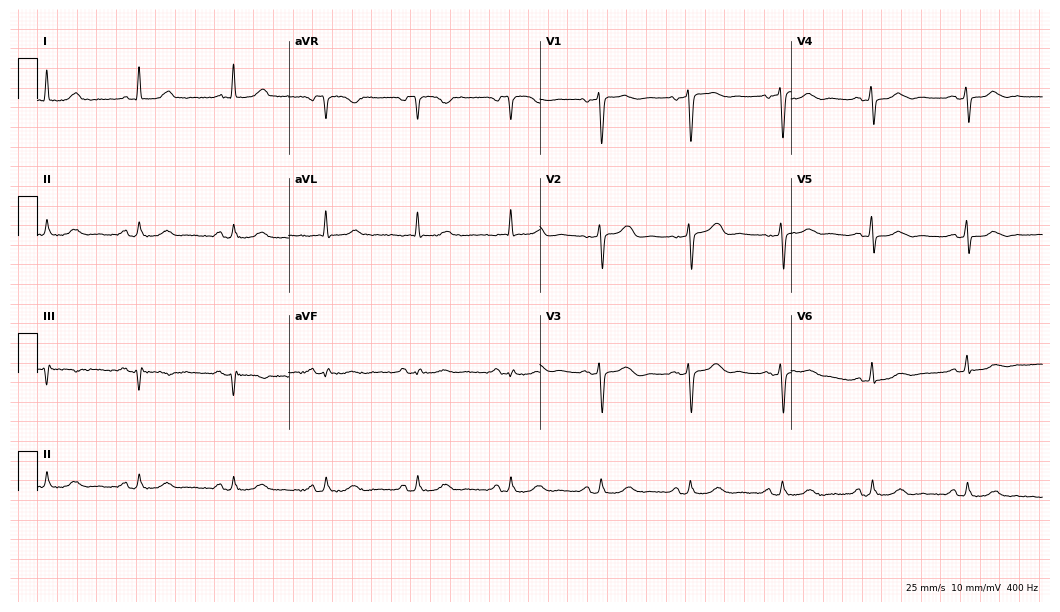
Electrocardiogram (10.2-second recording at 400 Hz), a 78-year-old female patient. Of the six screened findings (first-degree AV block, right bundle branch block, left bundle branch block, sinus bradycardia, atrial fibrillation, sinus tachycardia), none is recorded. Findings outside these six are not listed.